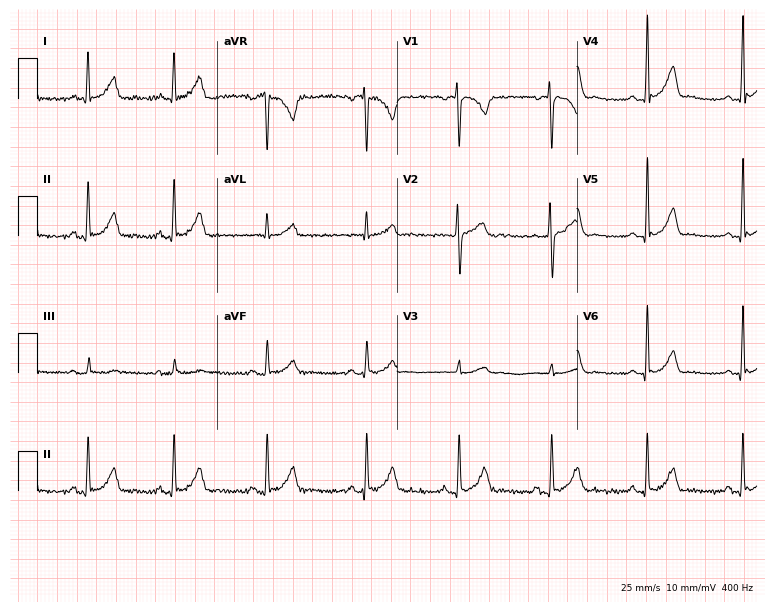
12-lead ECG from a 25-year-old man. Labelled as a normal ECG.